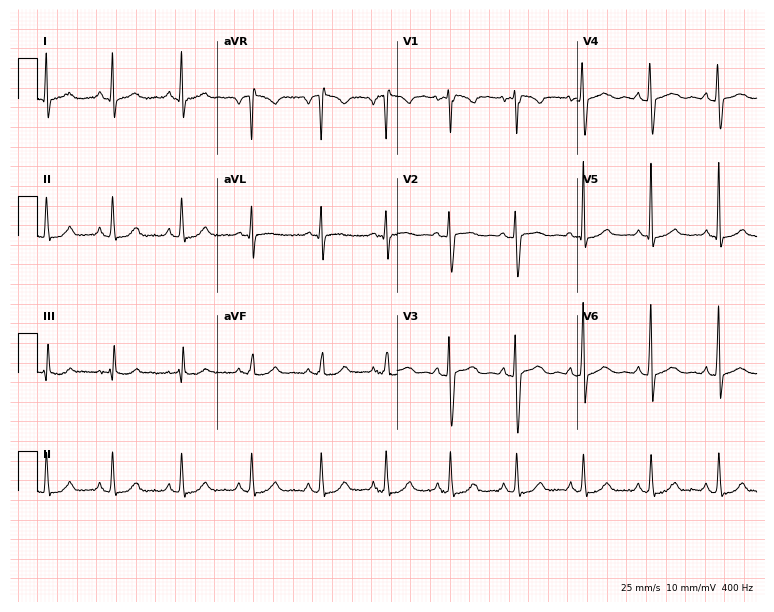
Standard 12-lead ECG recorded from a female patient, 45 years old. None of these six findings is recorded: first-degree AV block, right bundle branch block, left bundle branch block, sinus bradycardia, atrial fibrillation, sinus tachycardia.